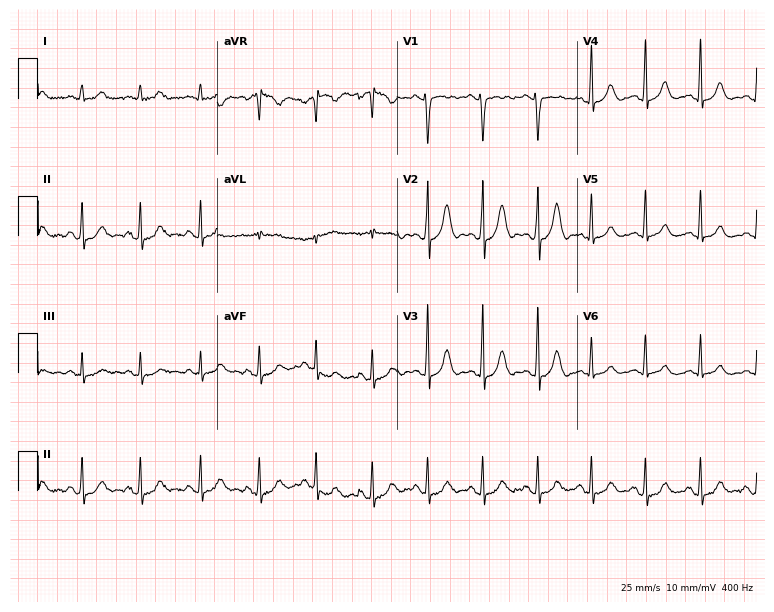
ECG (7.3-second recording at 400 Hz) — a 32-year-old female patient. Findings include sinus tachycardia (a sinus rate of 100 beats per minute or more).